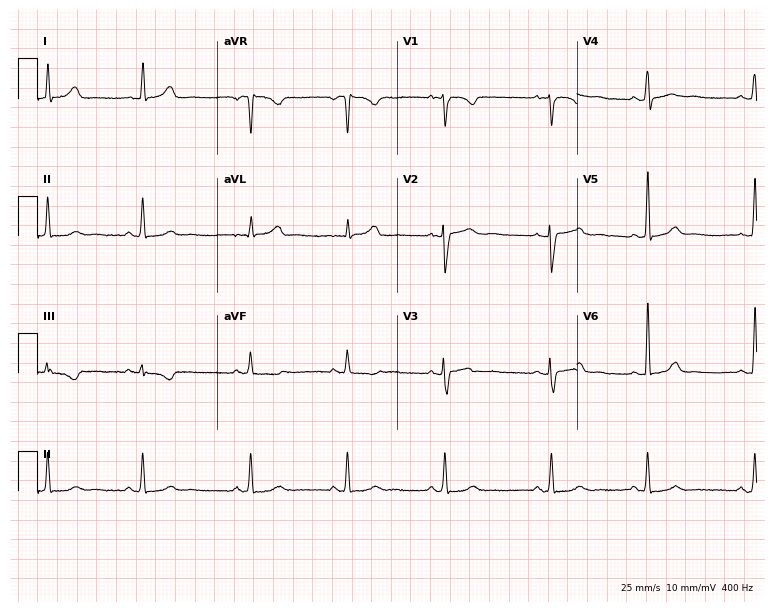
12-lead ECG (7.3-second recording at 400 Hz) from a female, 29 years old. Labelled as a normal ECG.